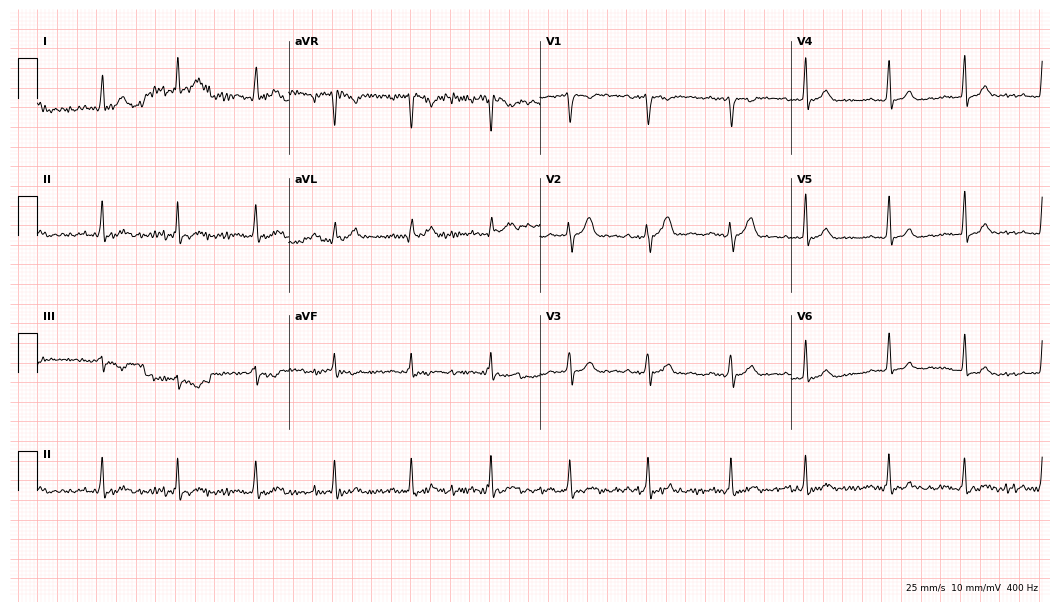
Electrocardiogram (10.2-second recording at 400 Hz), a woman, 32 years old. Overall reading on record: normal ECG.